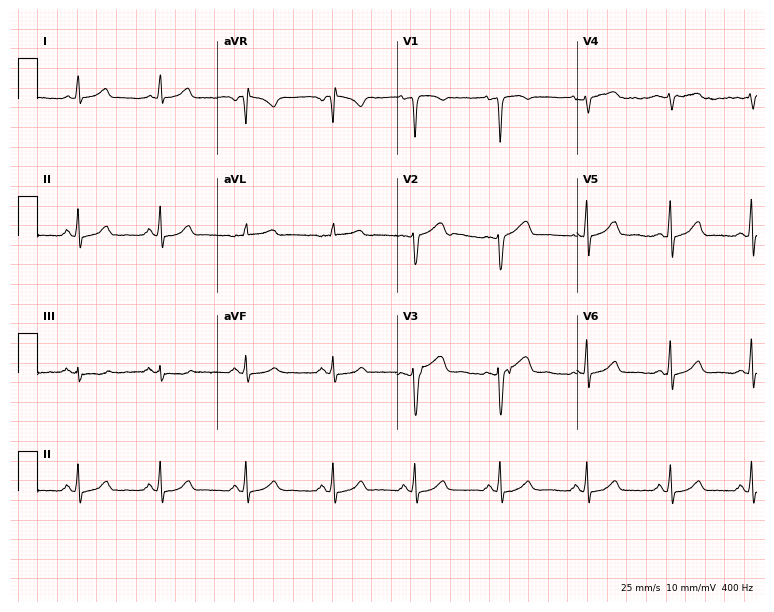
12-lead ECG (7.3-second recording at 400 Hz) from a 37-year-old female. Labelled as a normal ECG.